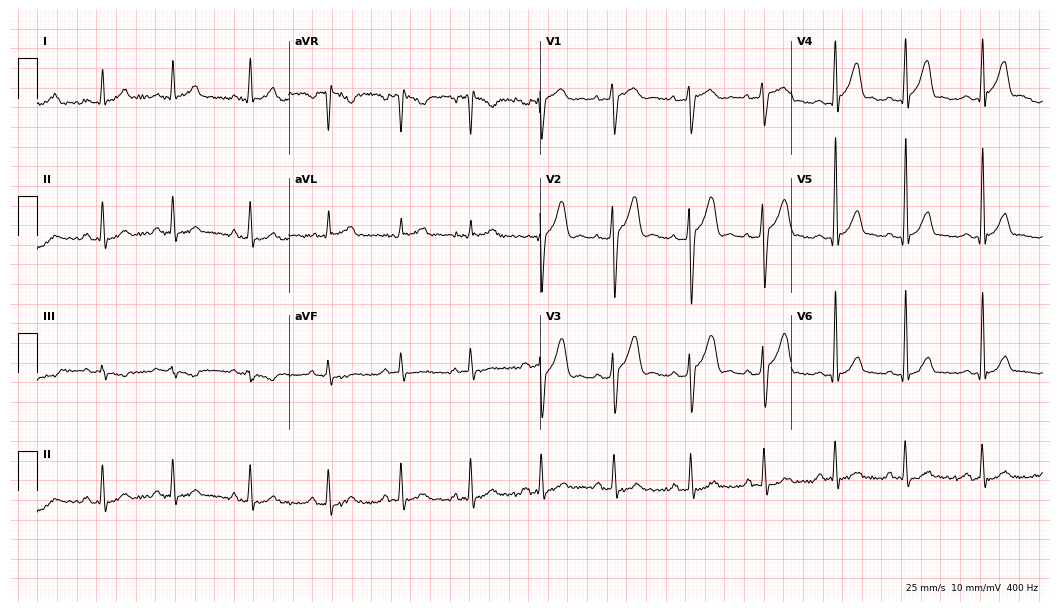
Electrocardiogram (10.2-second recording at 400 Hz), a man, 17 years old. Of the six screened findings (first-degree AV block, right bundle branch block, left bundle branch block, sinus bradycardia, atrial fibrillation, sinus tachycardia), none is recorded.